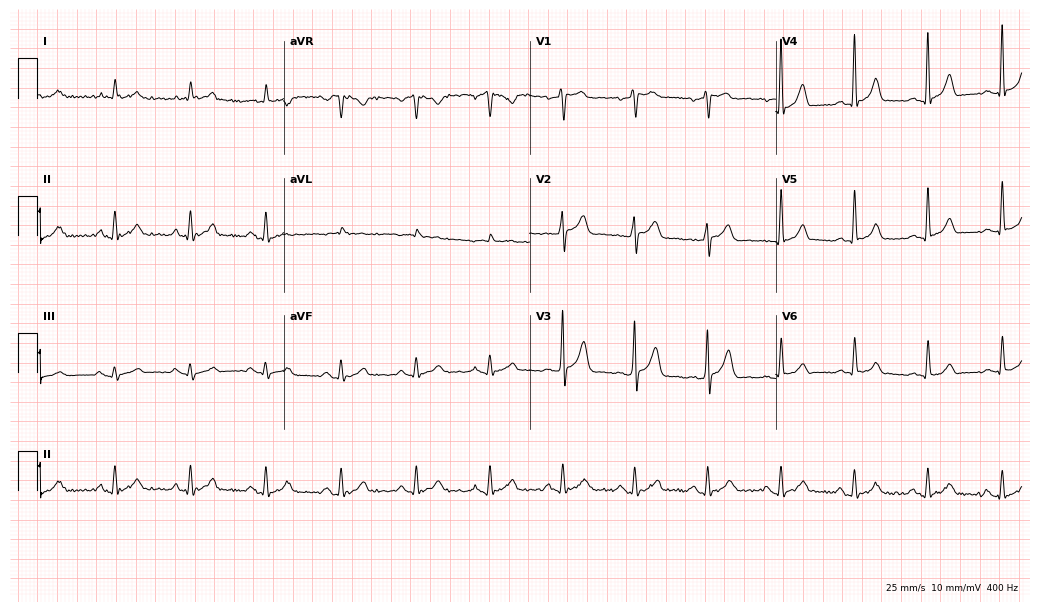
ECG — a male patient, 49 years old. Labelled as a normal ECG.